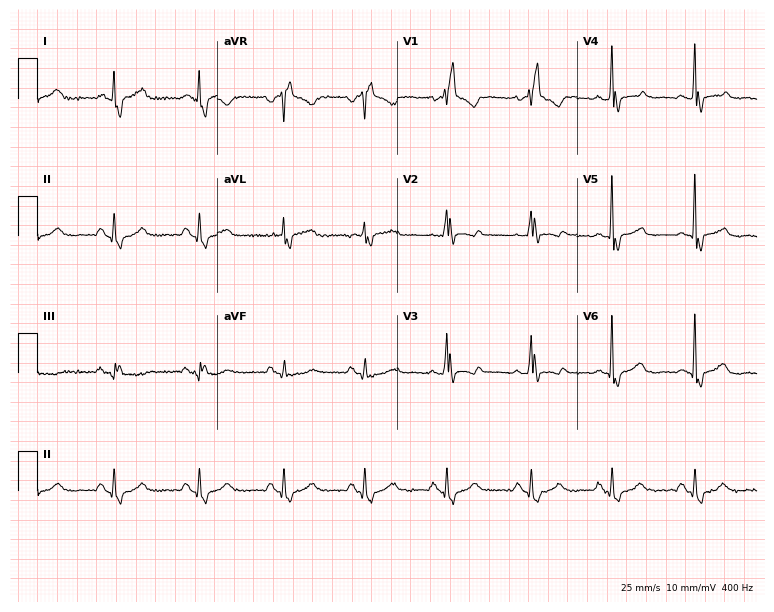
Electrocardiogram, a woman, 52 years old. Interpretation includes right bundle branch block (RBBB).